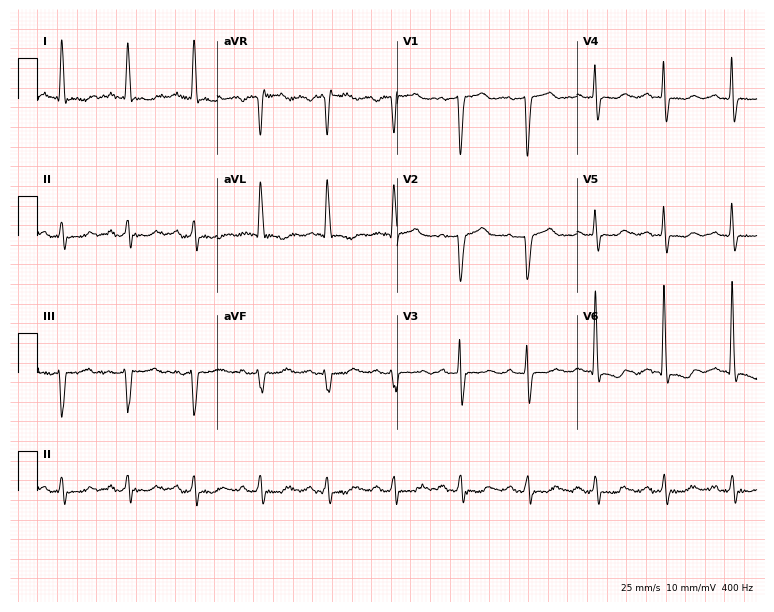
Electrocardiogram, a 70-year-old female. Of the six screened findings (first-degree AV block, right bundle branch block, left bundle branch block, sinus bradycardia, atrial fibrillation, sinus tachycardia), none is recorded.